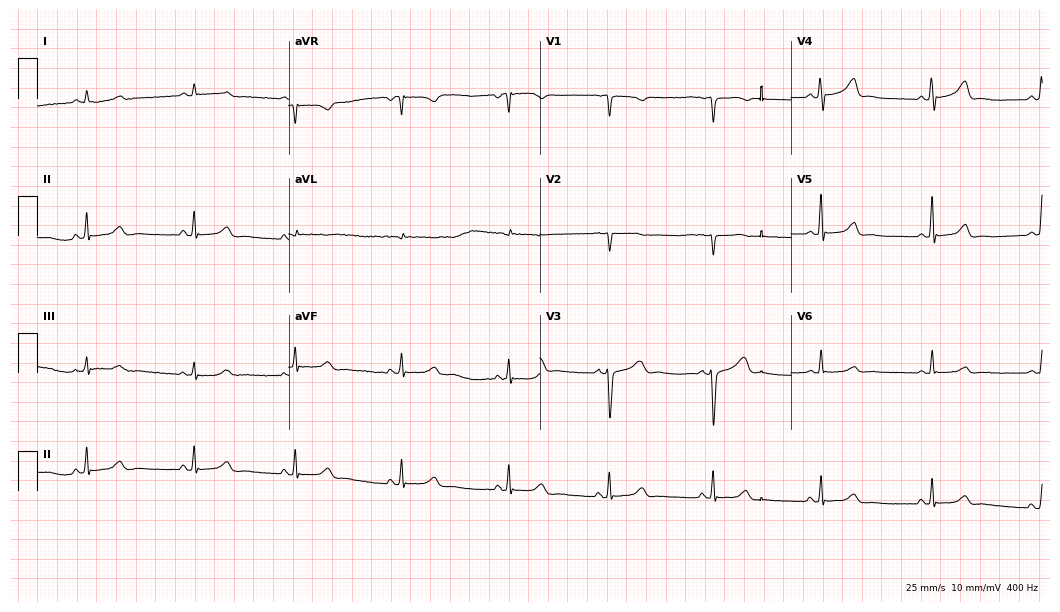
Standard 12-lead ECG recorded from a female patient, 40 years old (10.2-second recording at 400 Hz). Read as a normal ECG.